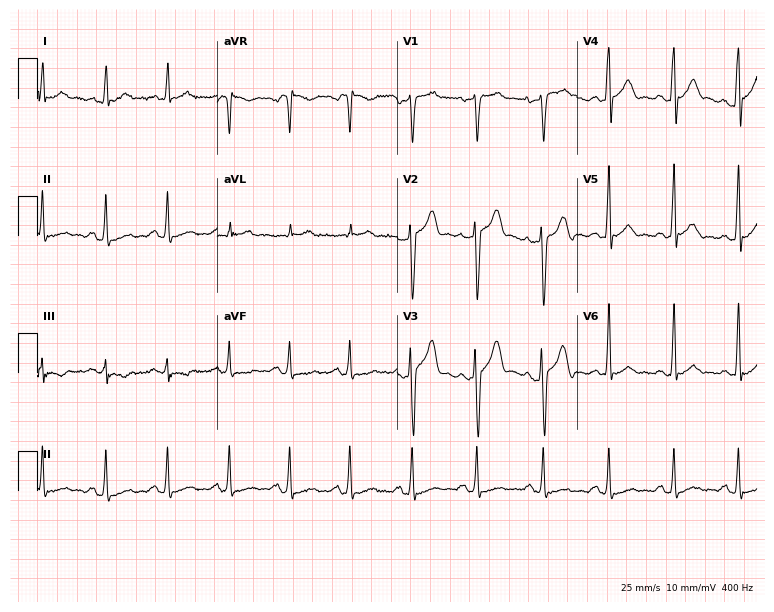
Standard 12-lead ECG recorded from a 36-year-old male. None of these six findings is recorded: first-degree AV block, right bundle branch block (RBBB), left bundle branch block (LBBB), sinus bradycardia, atrial fibrillation (AF), sinus tachycardia. Only these six findings were labelled.